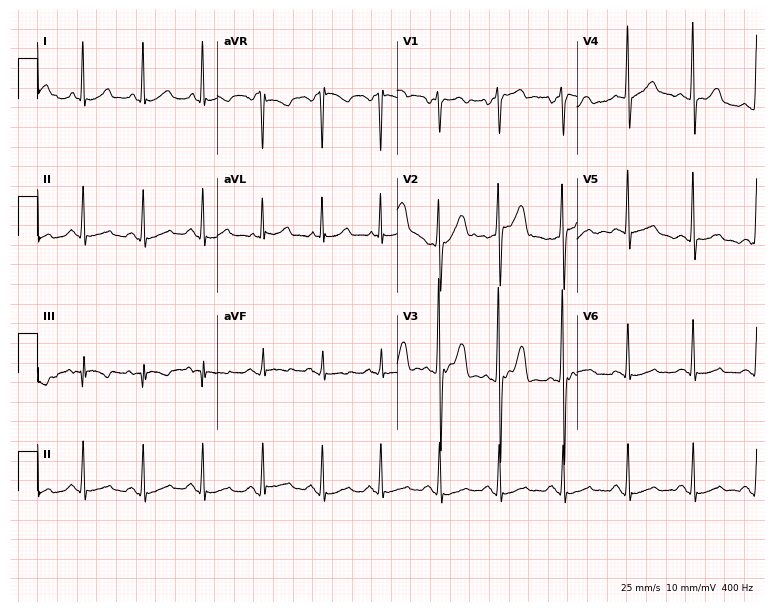
ECG — a man, 42 years old. Labelled as a normal ECG.